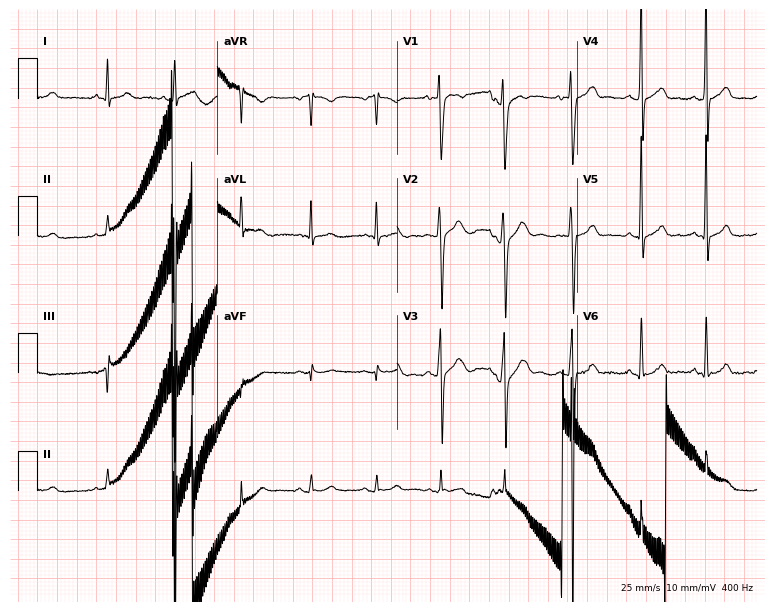
Electrocardiogram (7.3-second recording at 400 Hz), a 17-year-old male patient. Of the six screened findings (first-degree AV block, right bundle branch block (RBBB), left bundle branch block (LBBB), sinus bradycardia, atrial fibrillation (AF), sinus tachycardia), none is recorded.